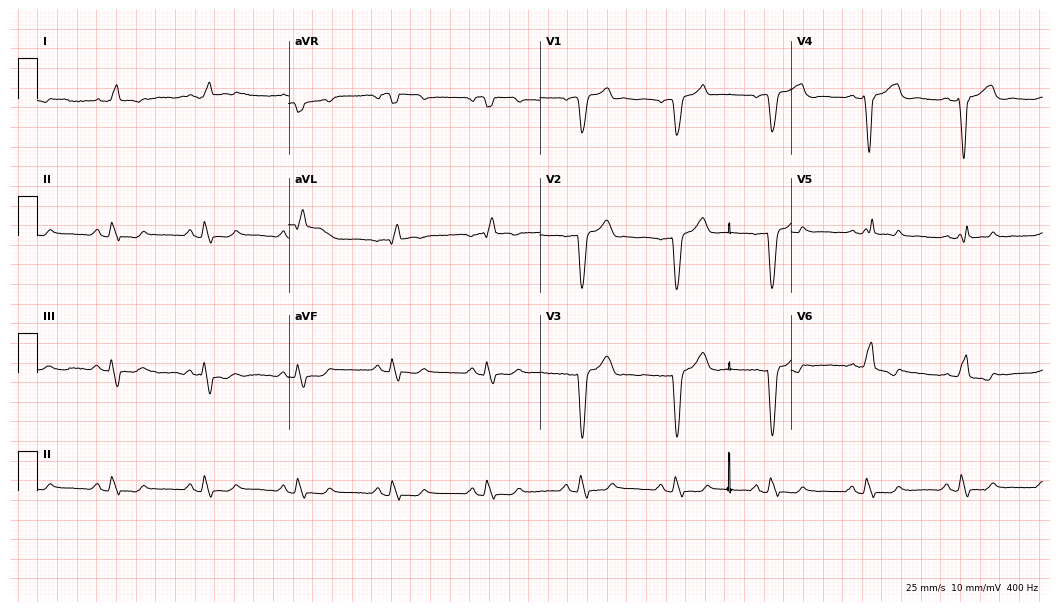
12-lead ECG from a 64-year-old male patient. No first-degree AV block, right bundle branch block (RBBB), left bundle branch block (LBBB), sinus bradycardia, atrial fibrillation (AF) or sinus tachycardia recorded for this tracing.